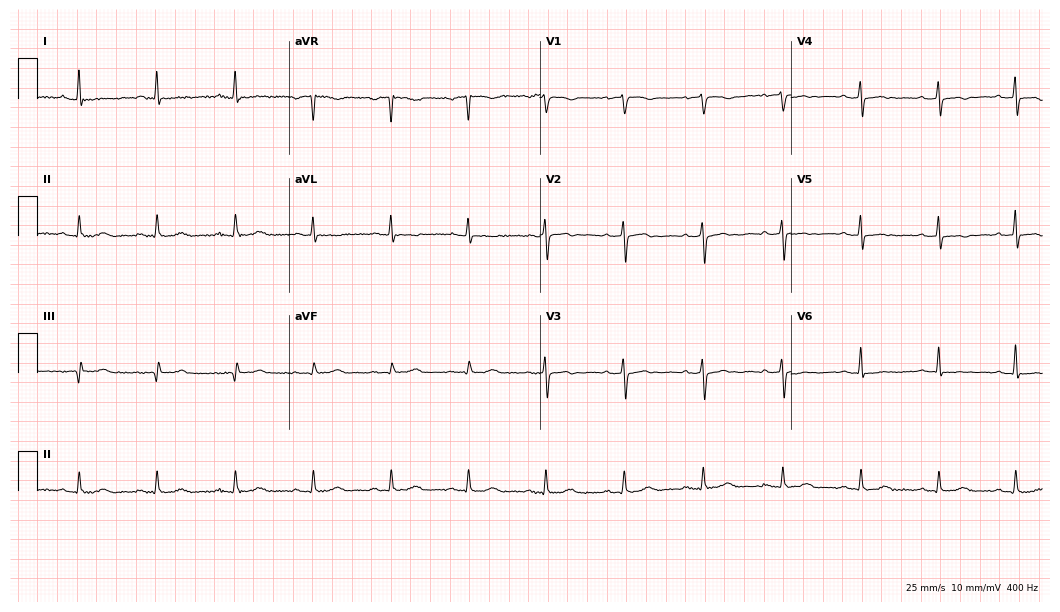
Electrocardiogram, a female, 71 years old. Of the six screened findings (first-degree AV block, right bundle branch block, left bundle branch block, sinus bradycardia, atrial fibrillation, sinus tachycardia), none is recorded.